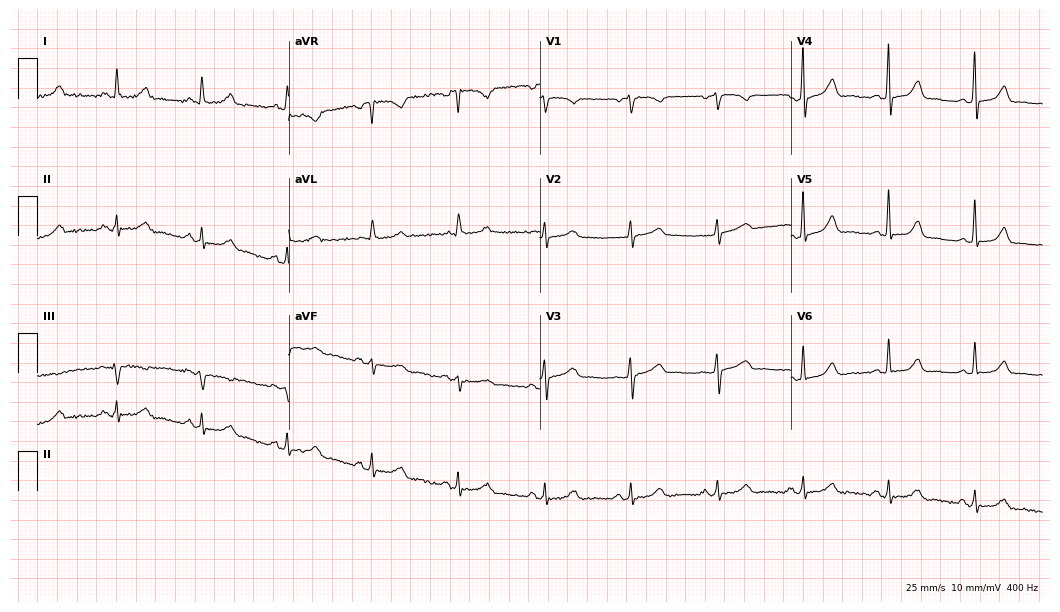
Electrocardiogram (10.2-second recording at 400 Hz), a 61-year-old woman. Overall reading on record: normal ECG.